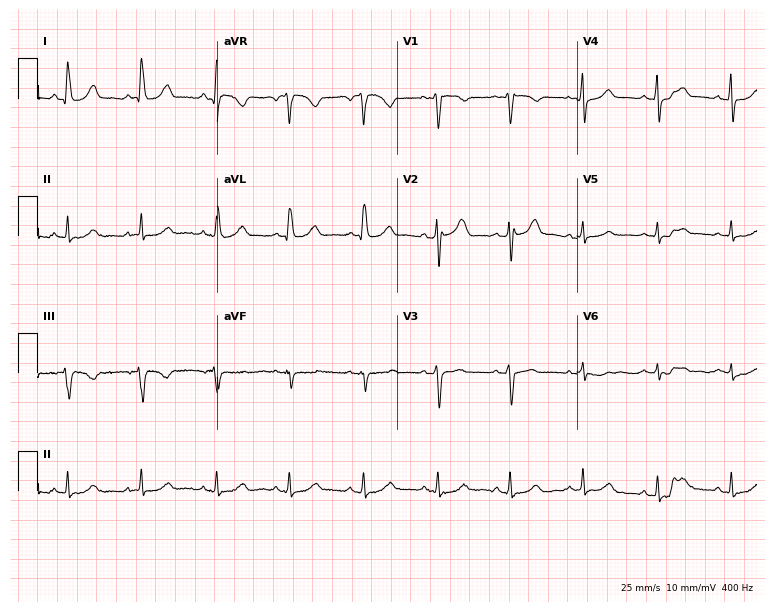
Electrocardiogram, a female patient, 42 years old. Overall reading on record: normal ECG.